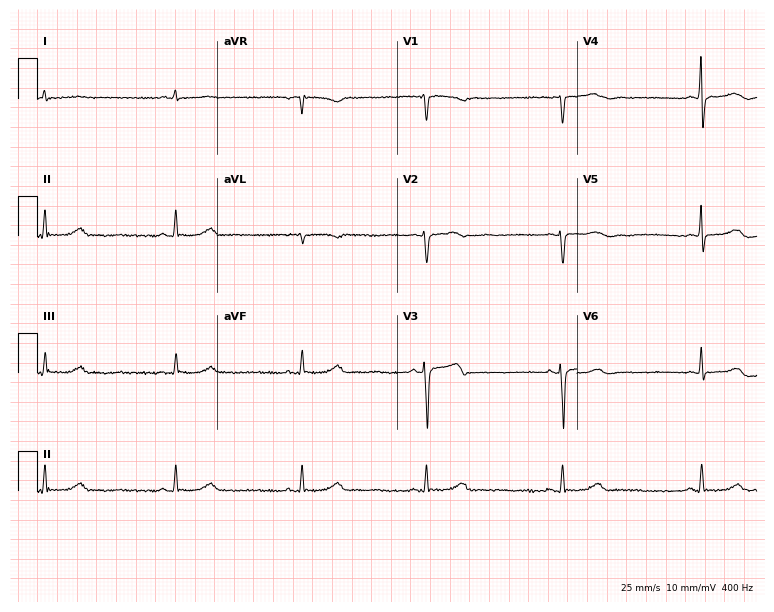
ECG — a female, 40 years old. Findings include sinus bradycardia (a sinus rate of 50 beats per minute or less).